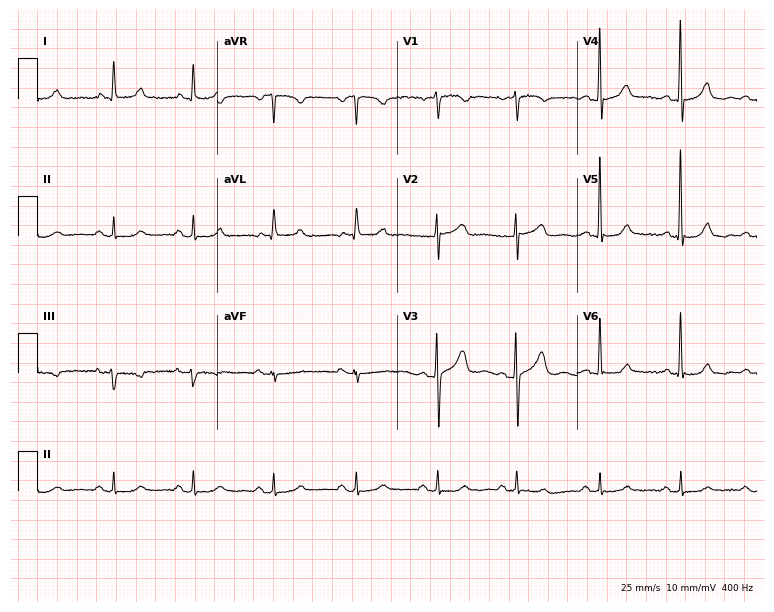
12-lead ECG from a female patient, 72 years old. No first-degree AV block, right bundle branch block, left bundle branch block, sinus bradycardia, atrial fibrillation or sinus tachycardia recorded for this tracing.